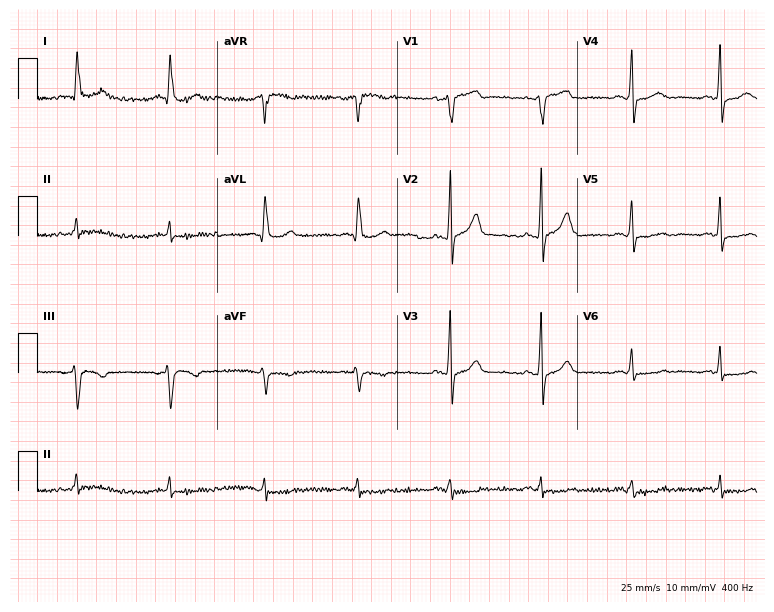
Resting 12-lead electrocardiogram. Patient: a male, 68 years old. None of these six findings is recorded: first-degree AV block, right bundle branch block, left bundle branch block, sinus bradycardia, atrial fibrillation, sinus tachycardia. Other findings, if any, are not listed.